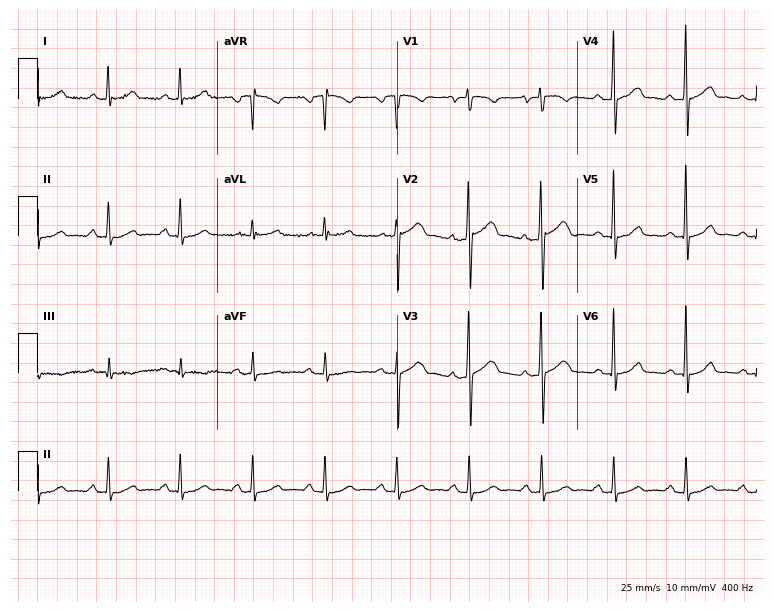
ECG (7.3-second recording at 400 Hz) — a male, 58 years old. Screened for six findings — first-degree AV block, right bundle branch block, left bundle branch block, sinus bradycardia, atrial fibrillation, sinus tachycardia — none is recorded. Findings outside these six are not listed.